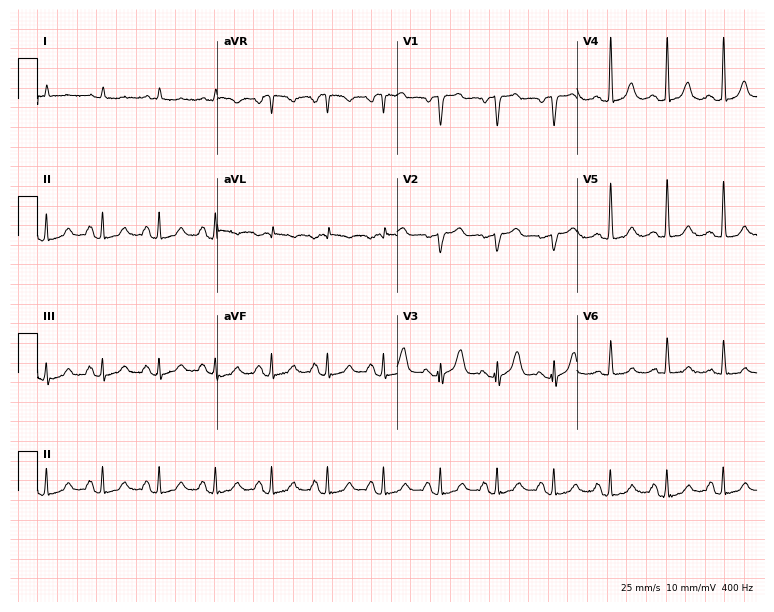
12-lead ECG from a male patient, 85 years old. Shows sinus tachycardia (a sinus rate of 100 beats per minute or more).